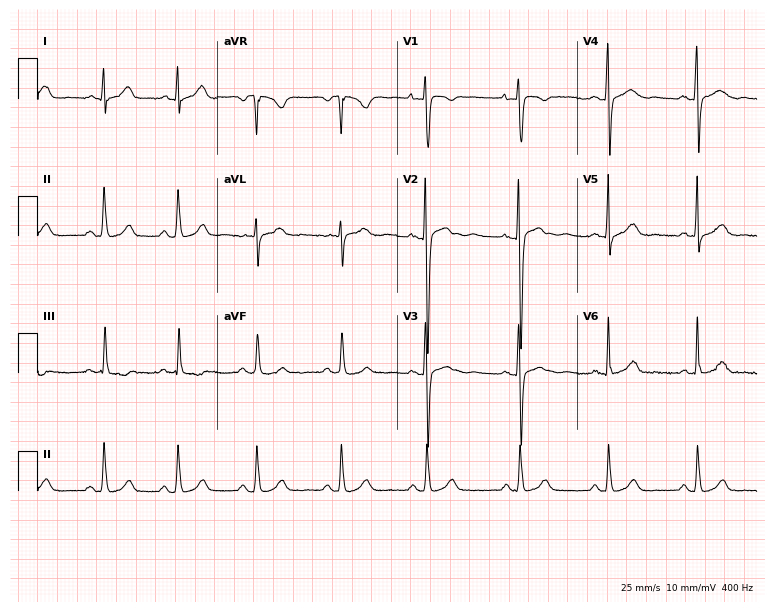
12-lead ECG from a 22-year-old female. Screened for six findings — first-degree AV block, right bundle branch block (RBBB), left bundle branch block (LBBB), sinus bradycardia, atrial fibrillation (AF), sinus tachycardia — none is recorded.